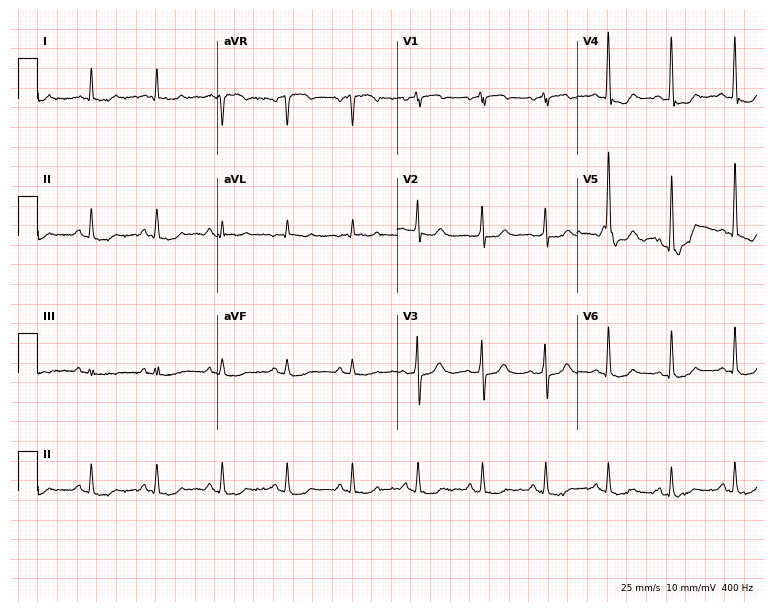
Resting 12-lead electrocardiogram. Patient: a 76-year-old woman. None of these six findings is recorded: first-degree AV block, right bundle branch block, left bundle branch block, sinus bradycardia, atrial fibrillation, sinus tachycardia. Only these six findings were labelled.